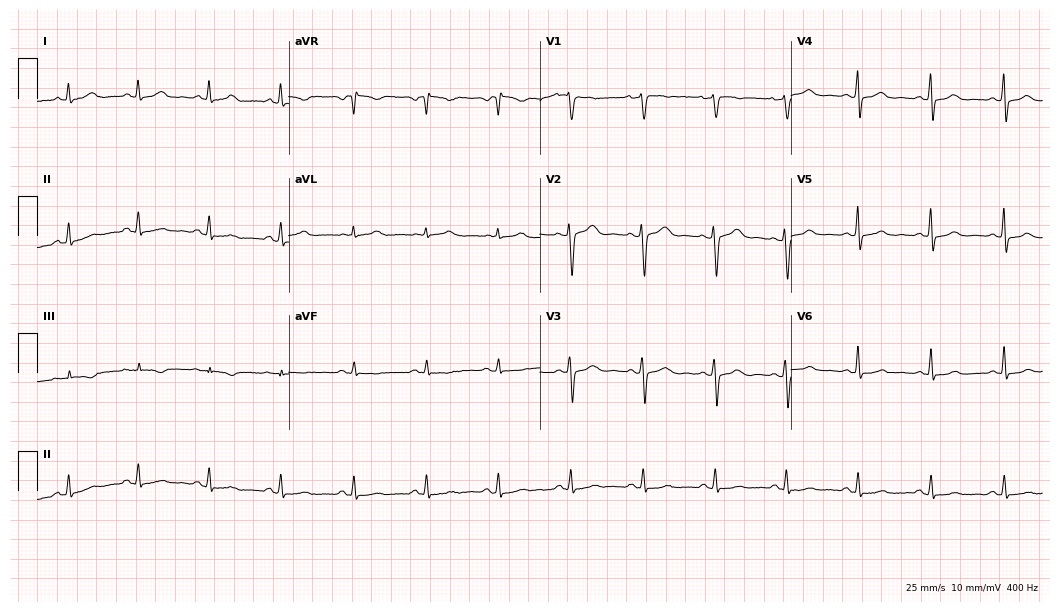
12-lead ECG from a woman, 55 years old. Recorded interpretation: within normal limits.